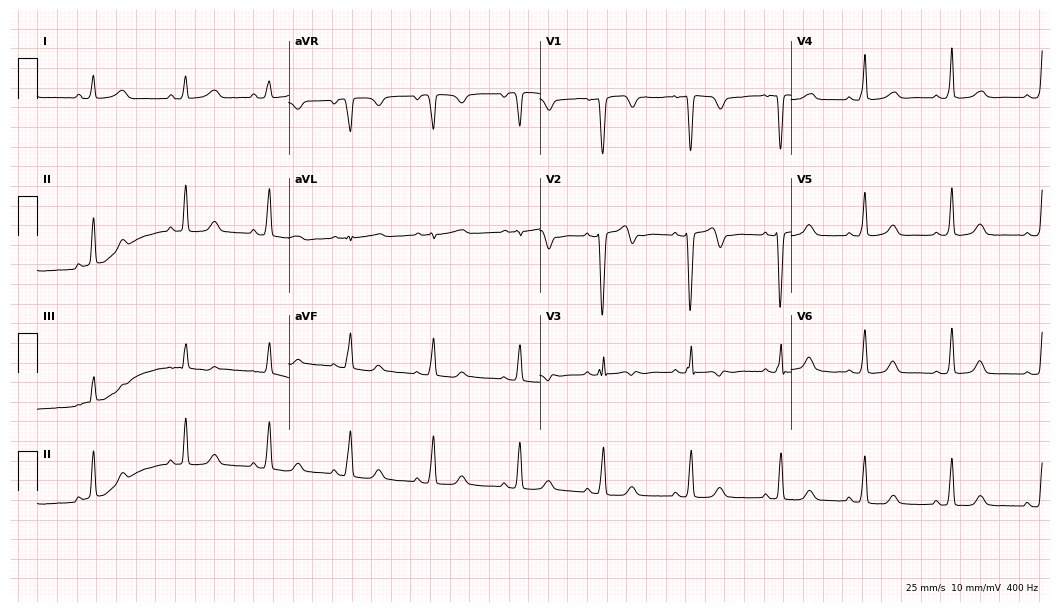
Resting 12-lead electrocardiogram. Patient: a 35-year-old female. None of these six findings is recorded: first-degree AV block, right bundle branch block, left bundle branch block, sinus bradycardia, atrial fibrillation, sinus tachycardia.